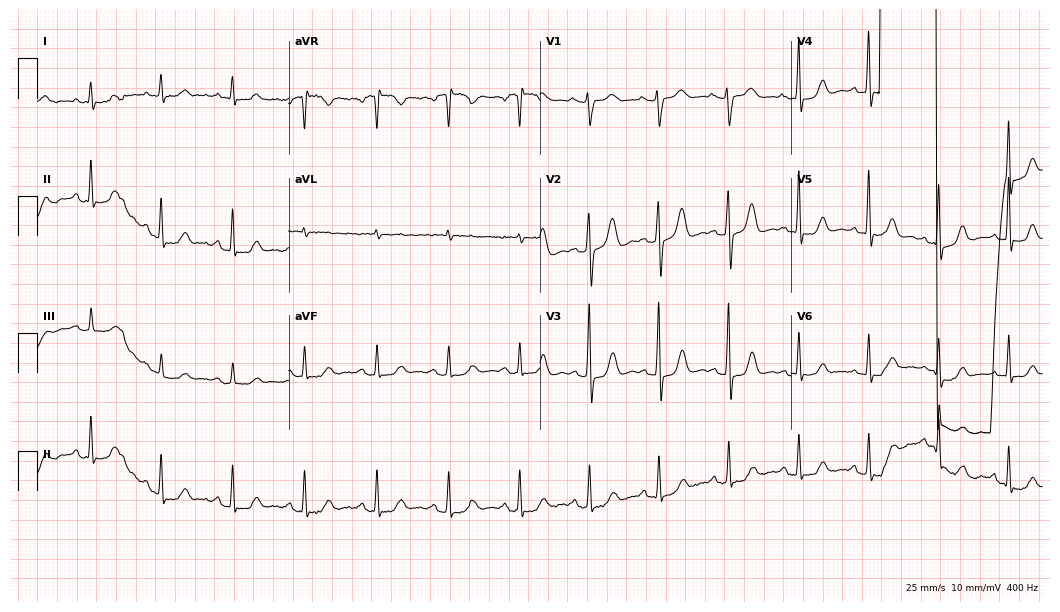
Electrocardiogram, a woman, 64 years old. Of the six screened findings (first-degree AV block, right bundle branch block (RBBB), left bundle branch block (LBBB), sinus bradycardia, atrial fibrillation (AF), sinus tachycardia), none is recorded.